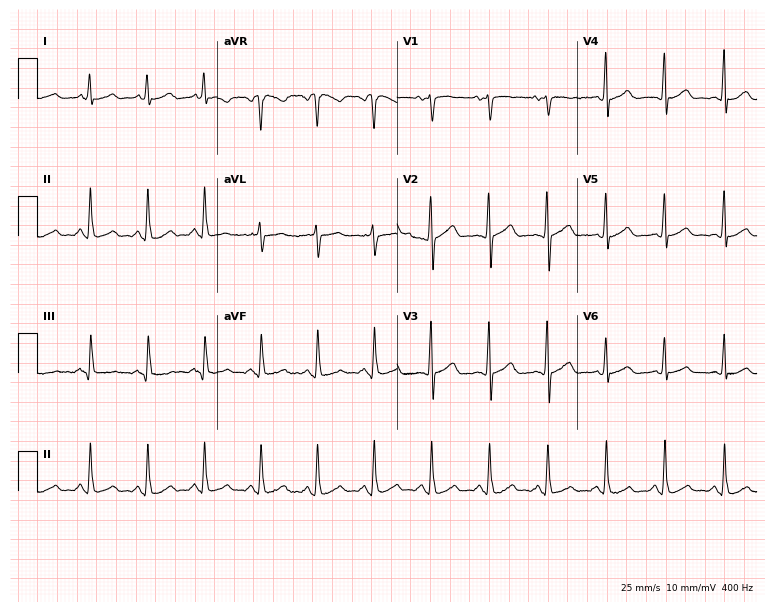
Resting 12-lead electrocardiogram. Patient: a 51-year-old female. Read as a normal ECG.